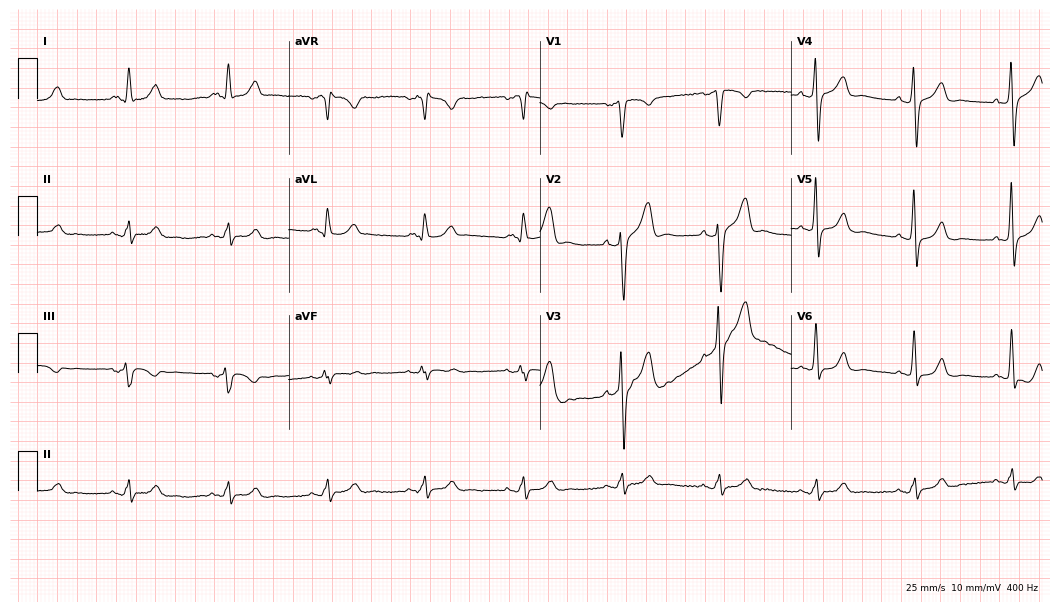
12-lead ECG (10.2-second recording at 400 Hz) from a male, 54 years old. Screened for six findings — first-degree AV block, right bundle branch block, left bundle branch block, sinus bradycardia, atrial fibrillation, sinus tachycardia — none is recorded.